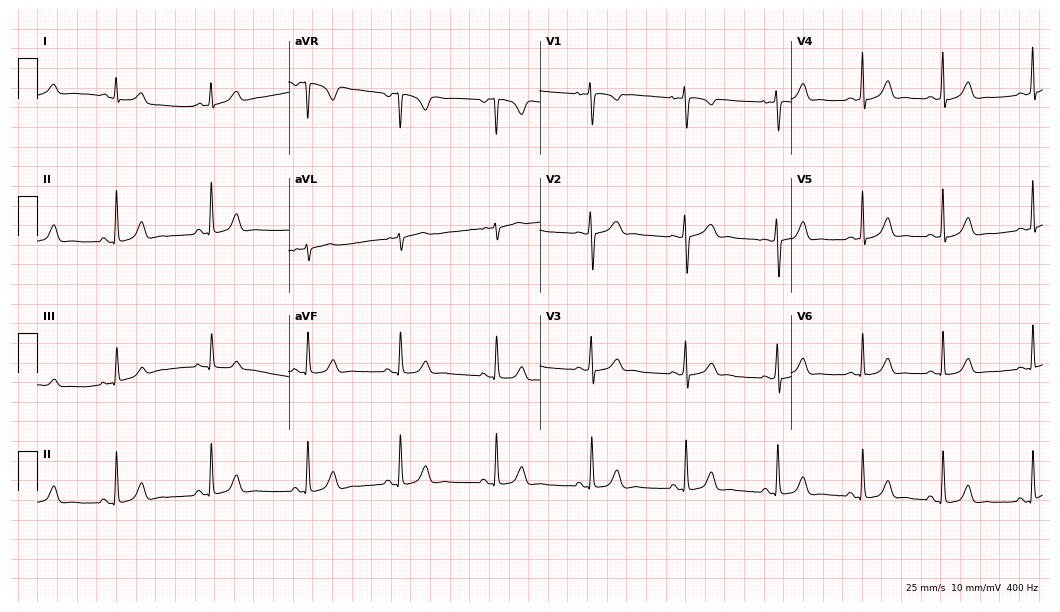
Standard 12-lead ECG recorded from a female patient, 19 years old (10.2-second recording at 400 Hz). None of these six findings is recorded: first-degree AV block, right bundle branch block, left bundle branch block, sinus bradycardia, atrial fibrillation, sinus tachycardia.